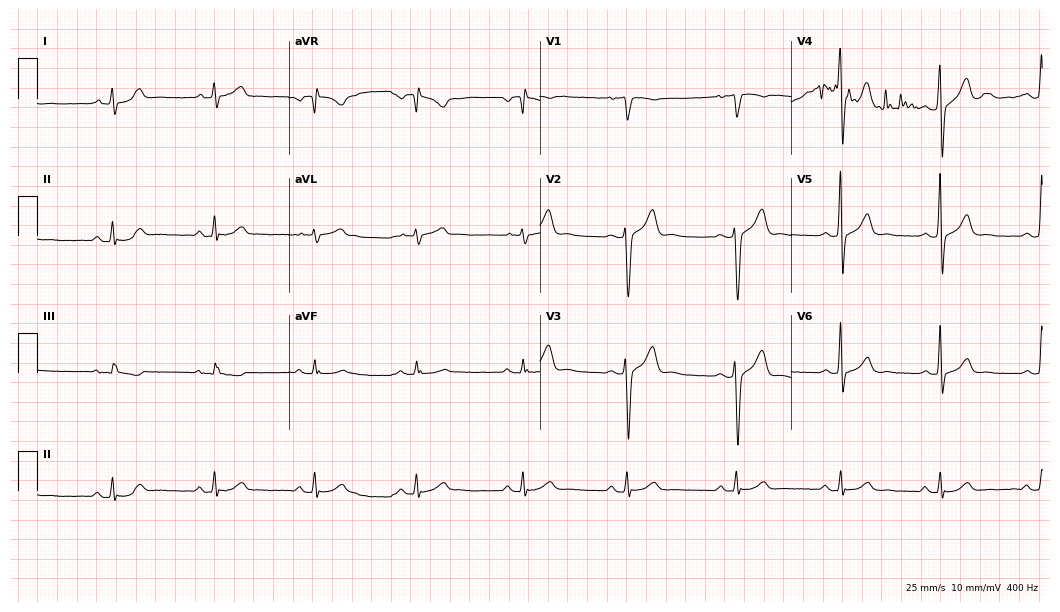
12-lead ECG from a 37-year-old man. Screened for six findings — first-degree AV block, right bundle branch block (RBBB), left bundle branch block (LBBB), sinus bradycardia, atrial fibrillation (AF), sinus tachycardia — none is recorded.